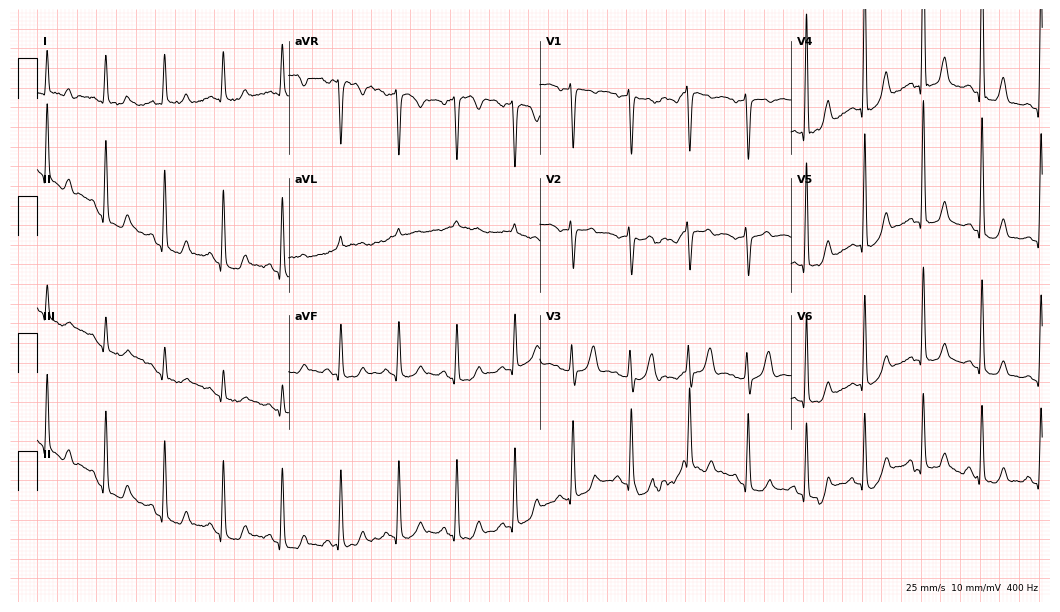
Standard 12-lead ECG recorded from a female, 79 years old. None of these six findings is recorded: first-degree AV block, right bundle branch block (RBBB), left bundle branch block (LBBB), sinus bradycardia, atrial fibrillation (AF), sinus tachycardia.